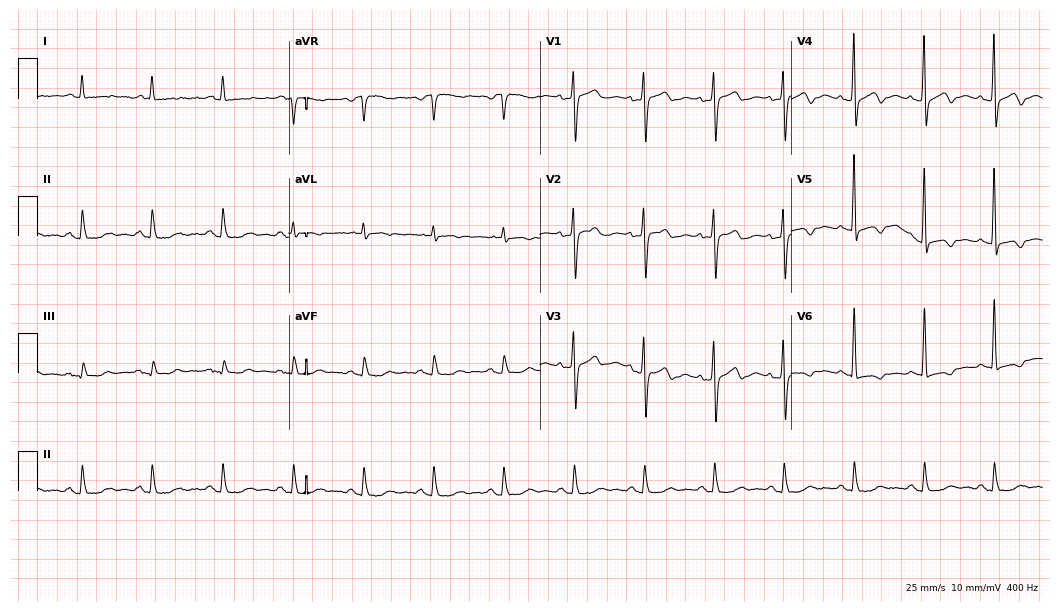
12-lead ECG from a 65-year-old woman (10.2-second recording at 400 Hz). No first-degree AV block, right bundle branch block (RBBB), left bundle branch block (LBBB), sinus bradycardia, atrial fibrillation (AF) or sinus tachycardia recorded for this tracing. Other findings, if any, are not listed.